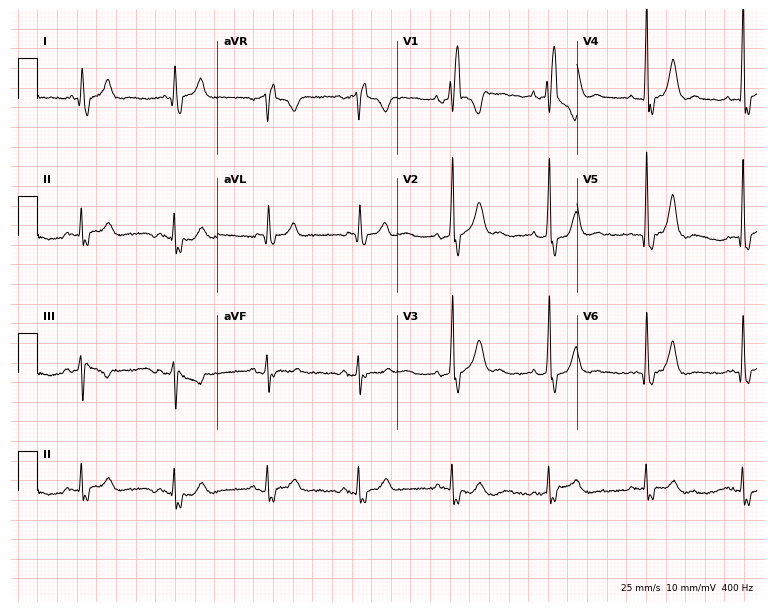
12-lead ECG (7.3-second recording at 400 Hz) from an 80-year-old man. Findings include right bundle branch block.